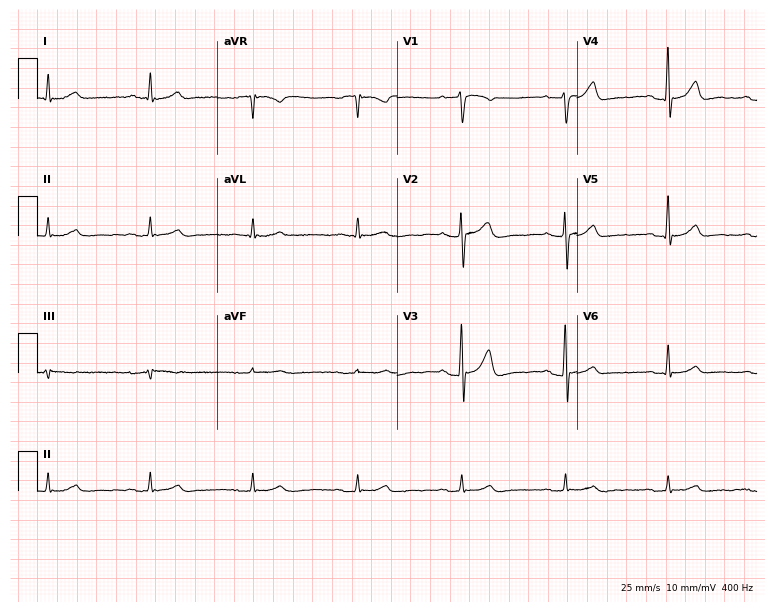
12-lead ECG from a male, 72 years old (7.3-second recording at 400 Hz). Recorded interpretation: within normal limits.